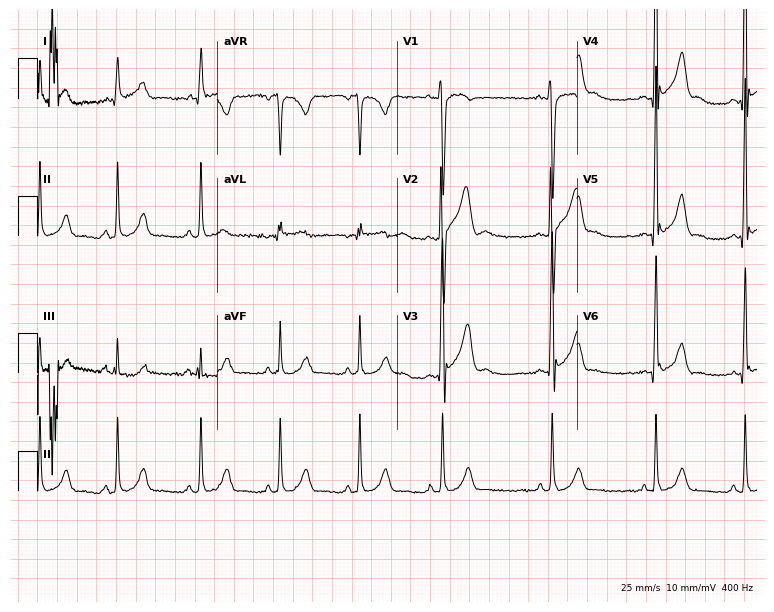
Electrocardiogram, a 22-year-old man. Overall reading on record: normal ECG.